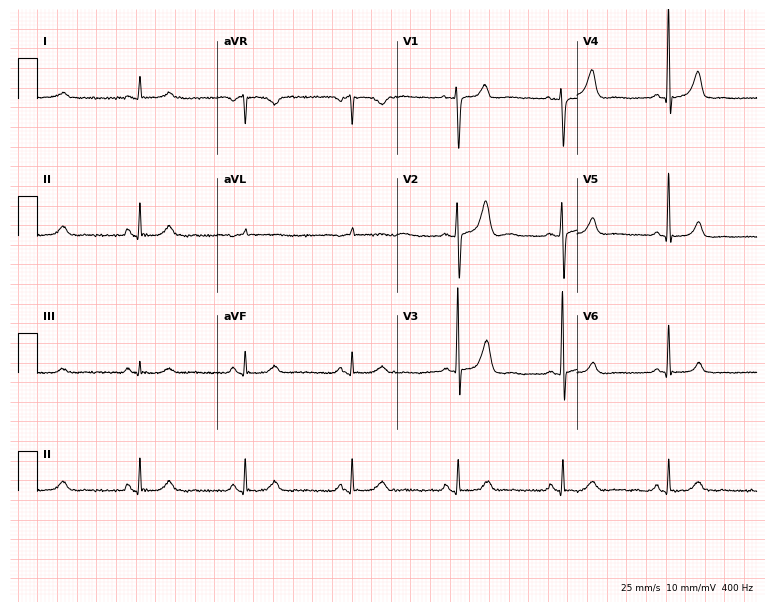
Resting 12-lead electrocardiogram. Patient: an 82-year-old male. Read as a normal ECG.